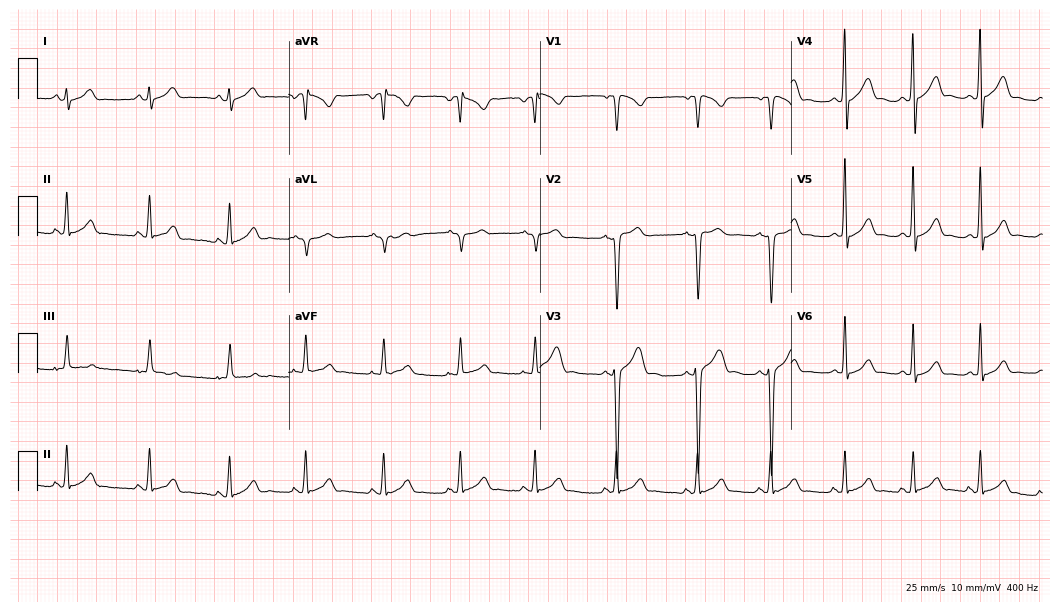
Resting 12-lead electrocardiogram. Patient: a 17-year-old male. None of these six findings is recorded: first-degree AV block, right bundle branch block, left bundle branch block, sinus bradycardia, atrial fibrillation, sinus tachycardia. Only these six findings were labelled.